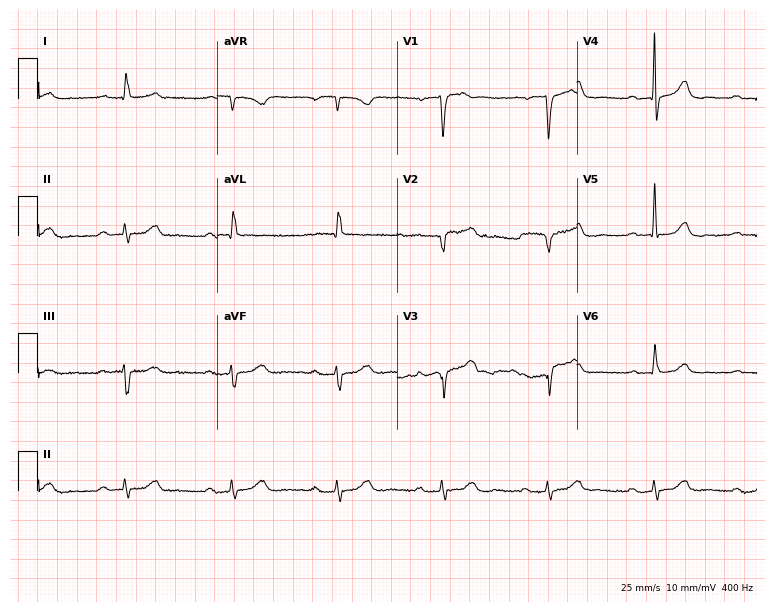
ECG — a male, 73 years old. Findings include first-degree AV block.